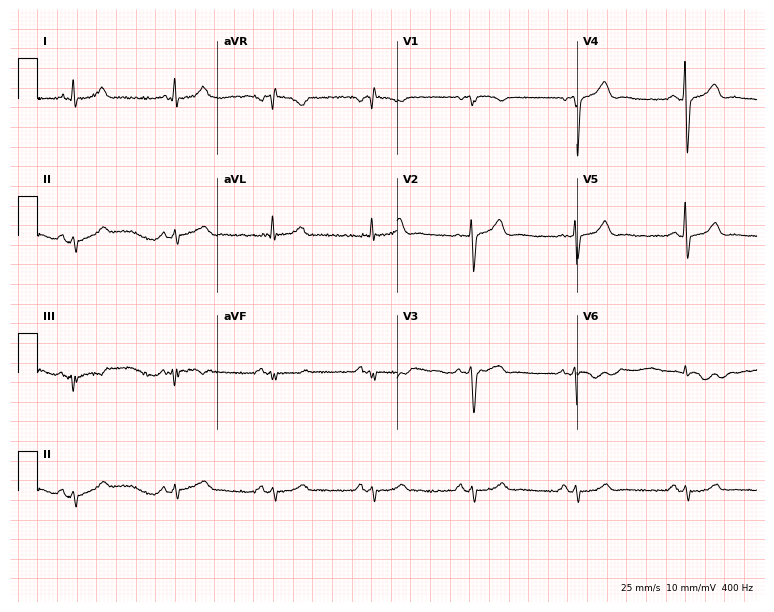
12-lead ECG from a 64-year-old man. No first-degree AV block, right bundle branch block, left bundle branch block, sinus bradycardia, atrial fibrillation or sinus tachycardia recorded for this tracing.